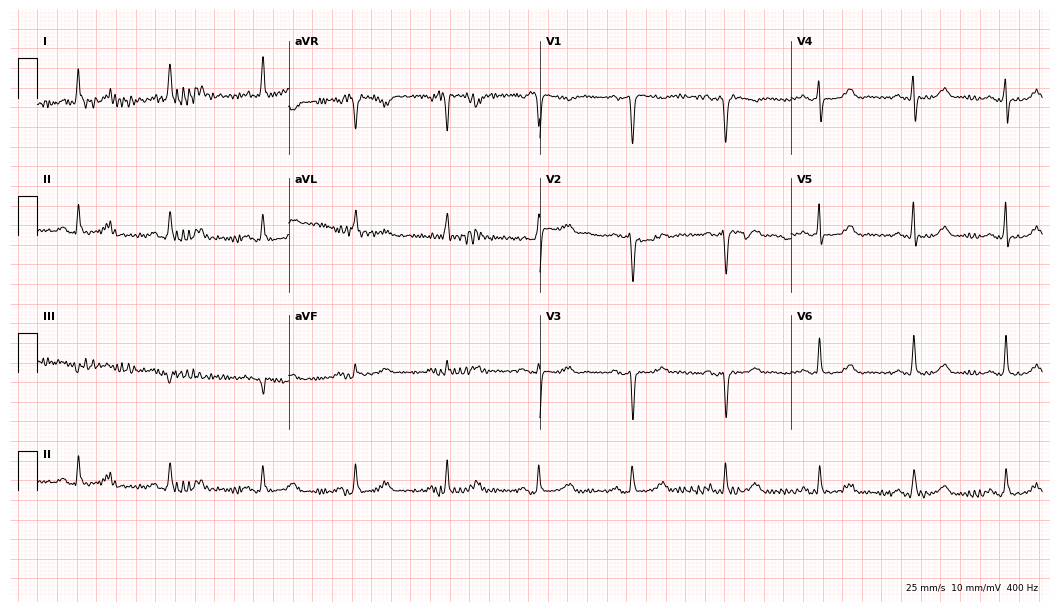
Electrocardiogram (10.2-second recording at 400 Hz), a 66-year-old female. Of the six screened findings (first-degree AV block, right bundle branch block, left bundle branch block, sinus bradycardia, atrial fibrillation, sinus tachycardia), none is recorded.